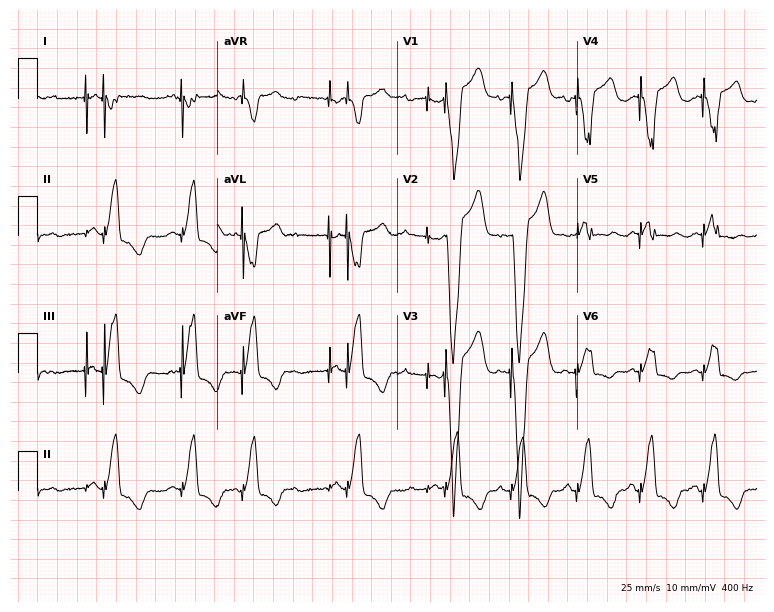
Electrocardiogram, a female, 78 years old. Of the six screened findings (first-degree AV block, right bundle branch block, left bundle branch block, sinus bradycardia, atrial fibrillation, sinus tachycardia), none is recorded. Other findings, if any, are not listed.